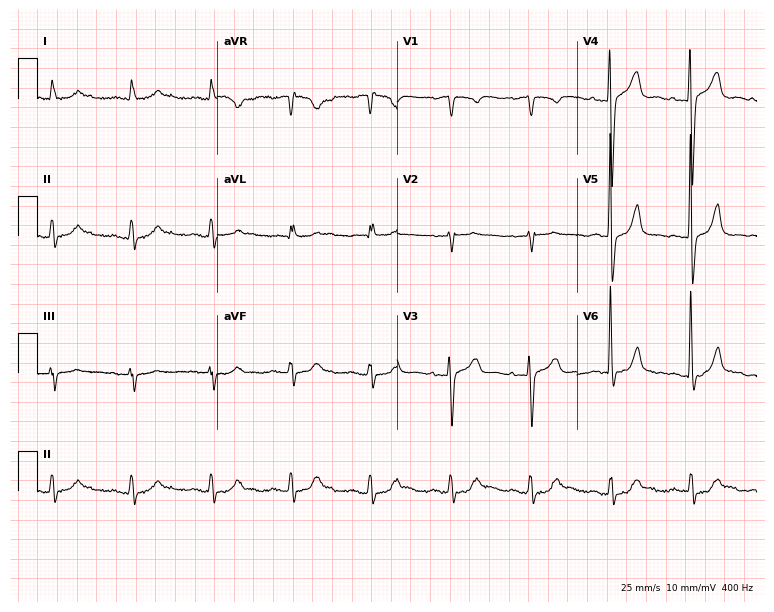
12-lead ECG (7.3-second recording at 400 Hz) from a male, 85 years old. Screened for six findings — first-degree AV block, right bundle branch block (RBBB), left bundle branch block (LBBB), sinus bradycardia, atrial fibrillation (AF), sinus tachycardia — none is recorded. Findings outside these six are not listed.